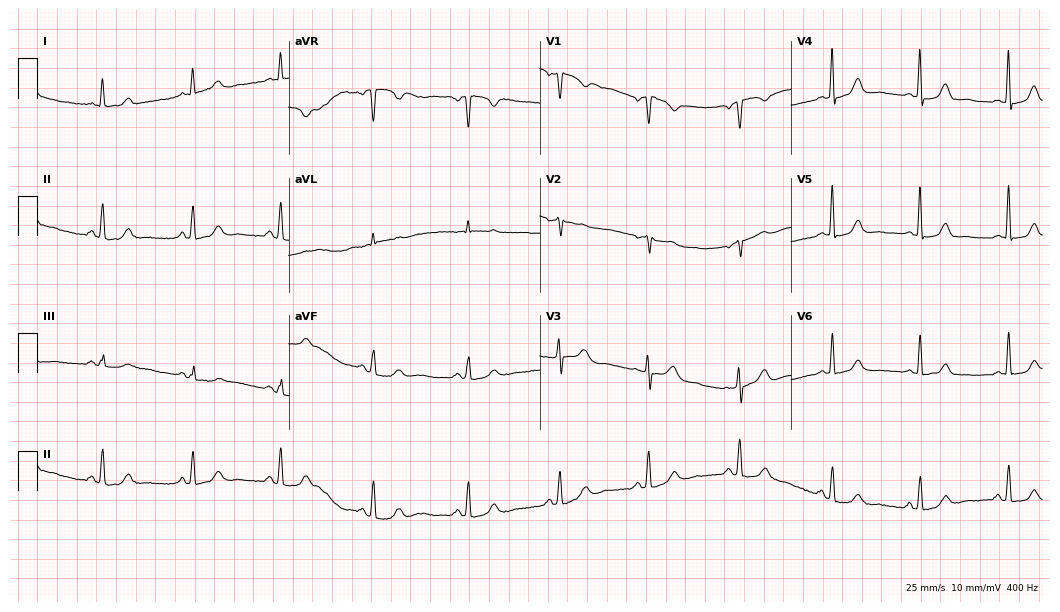
12-lead ECG from a woman, 58 years old. Labelled as a normal ECG.